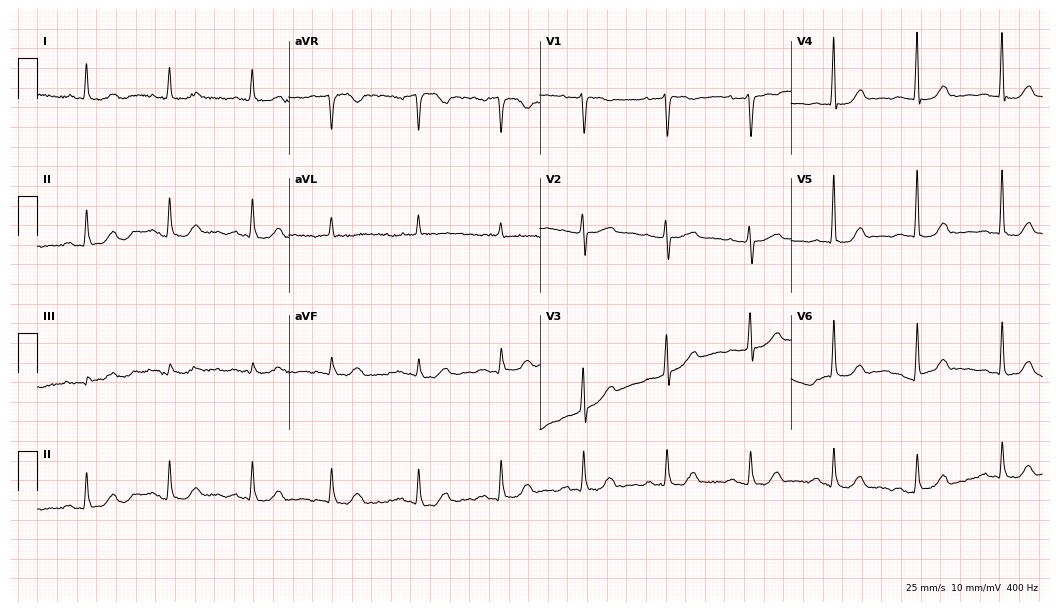
12-lead ECG from a 69-year-old man. Recorded interpretation: within normal limits.